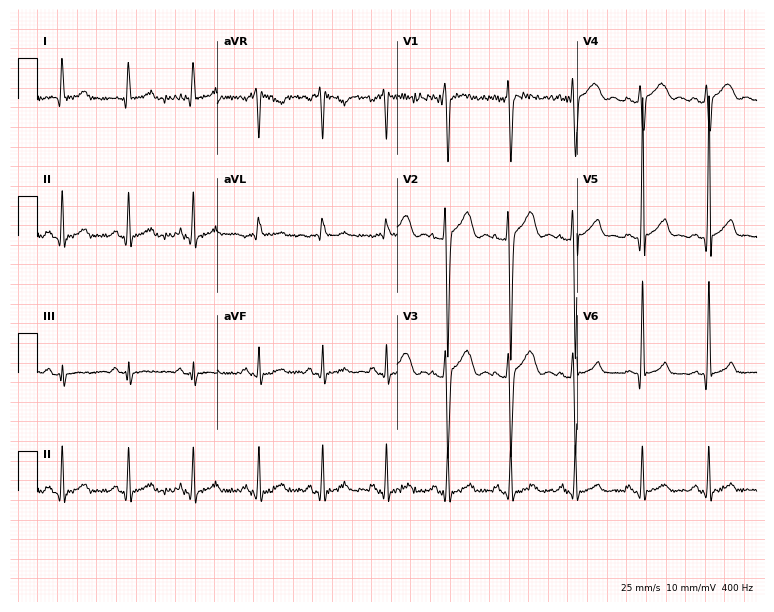
Standard 12-lead ECG recorded from a man, 21 years old (7.3-second recording at 400 Hz). Read as a normal ECG.